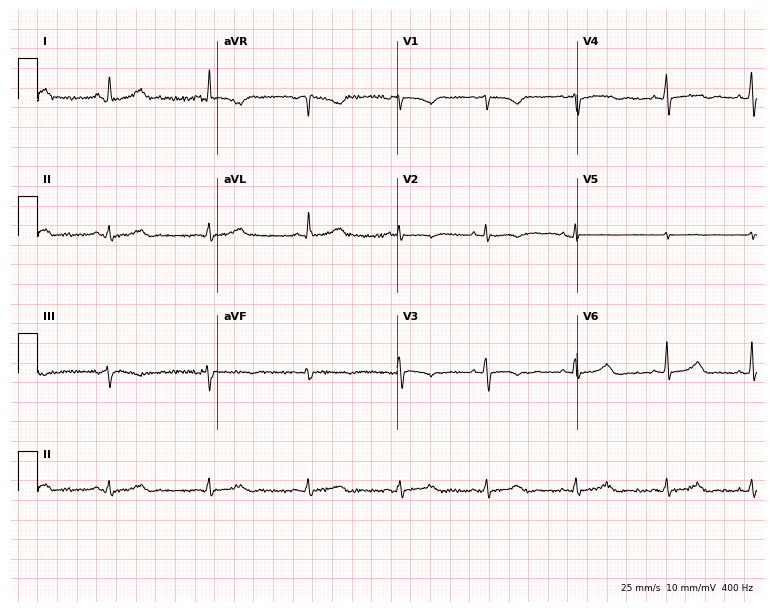
ECG (7.3-second recording at 400 Hz) — a woman, 34 years old. Screened for six findings — first-degree AV block, right bundle branch block, left bundle branch block, sinus bradycardia, atrial fibrillation, sinus tachycardia — none is recorded. Findings outside these six are not listed.